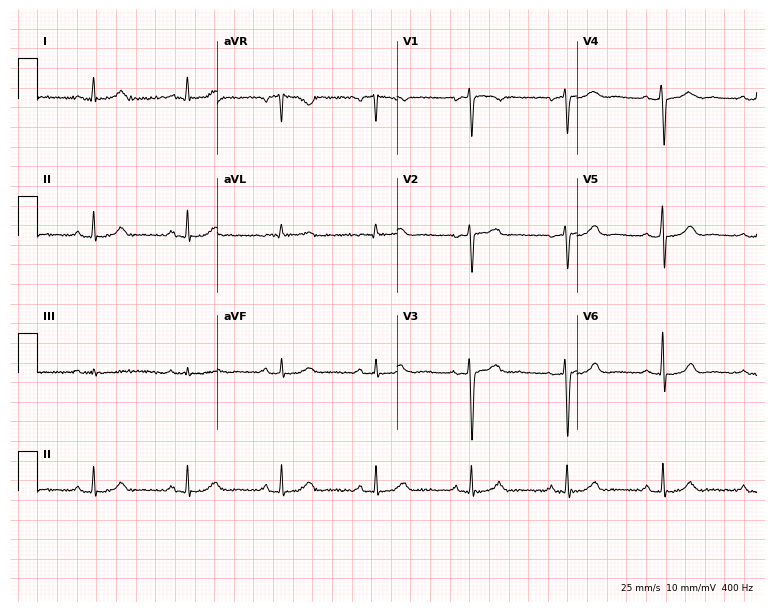
Standard 12-lead ECG recorded from a female patient, 44 years old. Read as a normal ECG.